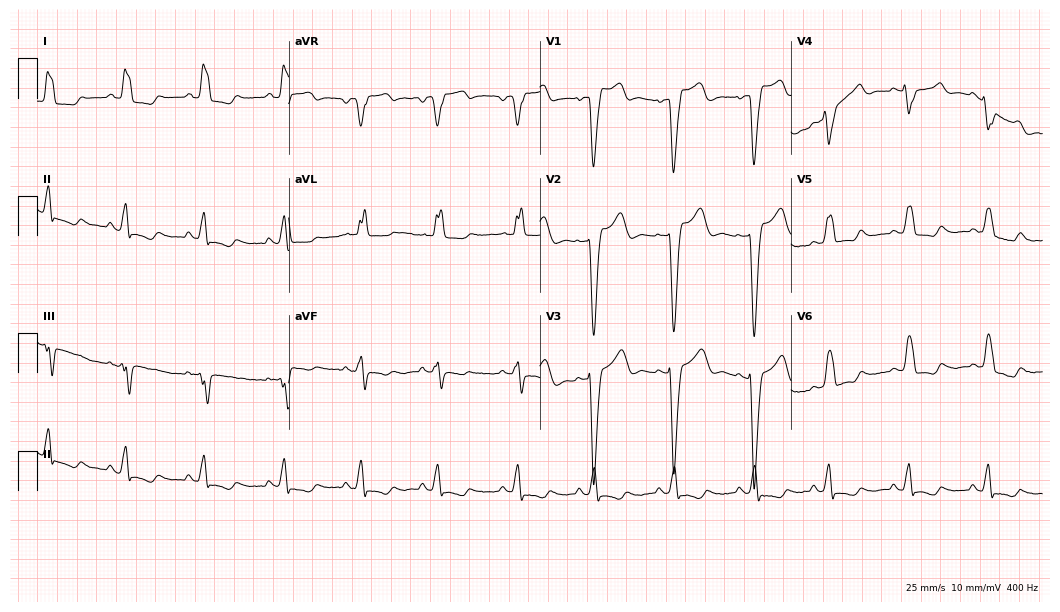
12-lead ECG (10.2-second recording at 400 Hz) from a 43-year-old female patient. Findings include left bundle branch block.